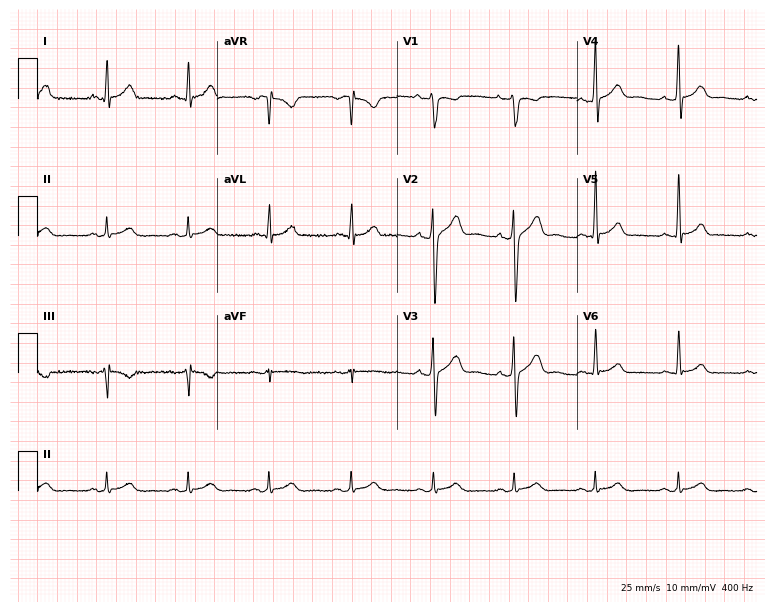
Standard 12-lead ECG recorded from a 31-year-old man. None of these six findings is recorded: first-degree AV block, right bundle branch block (RBBB), left bundle branch block (LBBB), sinus bradycardia, atrial fibrillation (AF), sinus tachycardia. Findings outside these six are not listed.